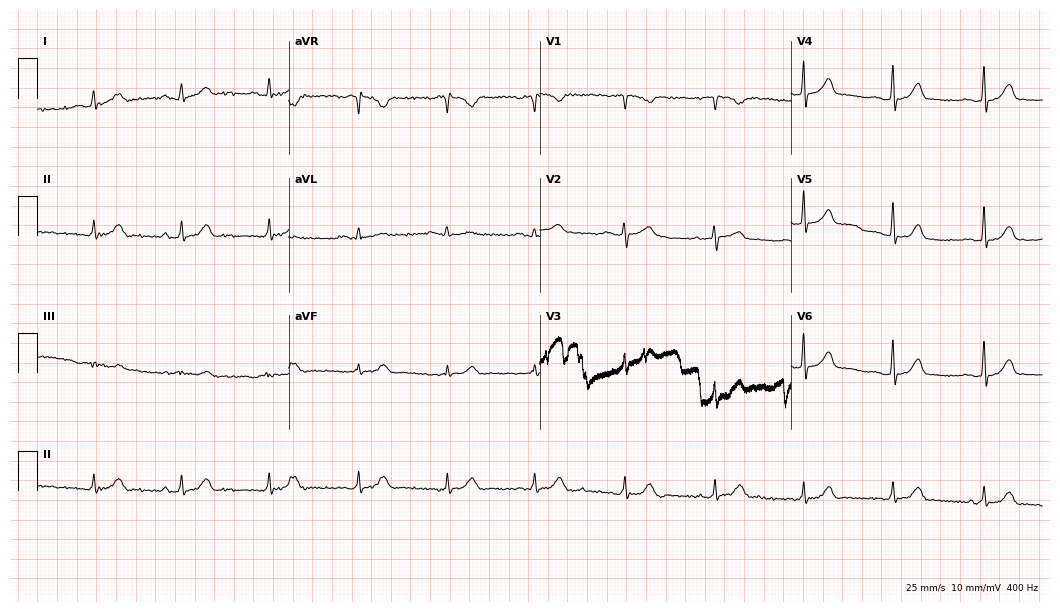
Resting 12-lead electrocardiogram (10.2-second recording at 400 Hz). Patient: a male, 43 years old. Read as a normal ECG.